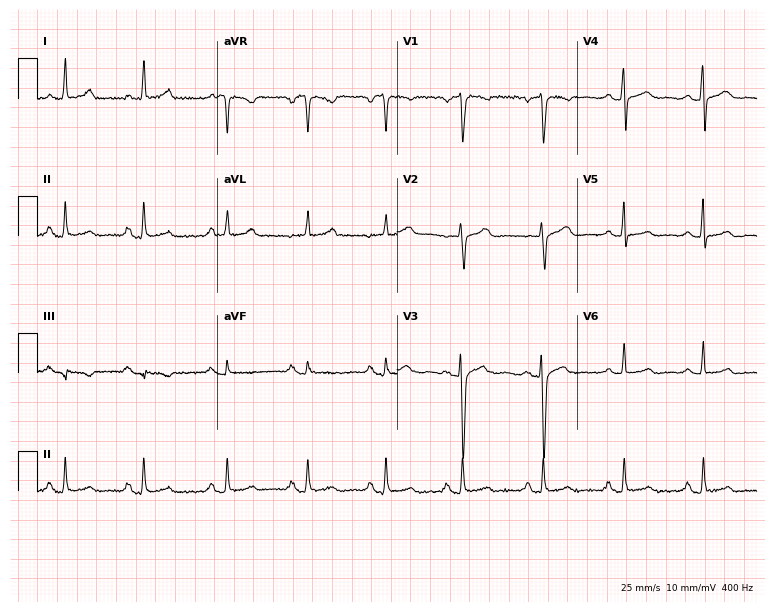
Resting 12-lead electrocardiogram (7.3-second recording at 400 Hz). Patient: a 43-year-old female. None of these six findings is recorded: first-degree AV block, right bundle branch block, left bundle branch block, sinus bradycardia, atrial fibrillation, sinus tachycardia. Only these six findings were labelled.